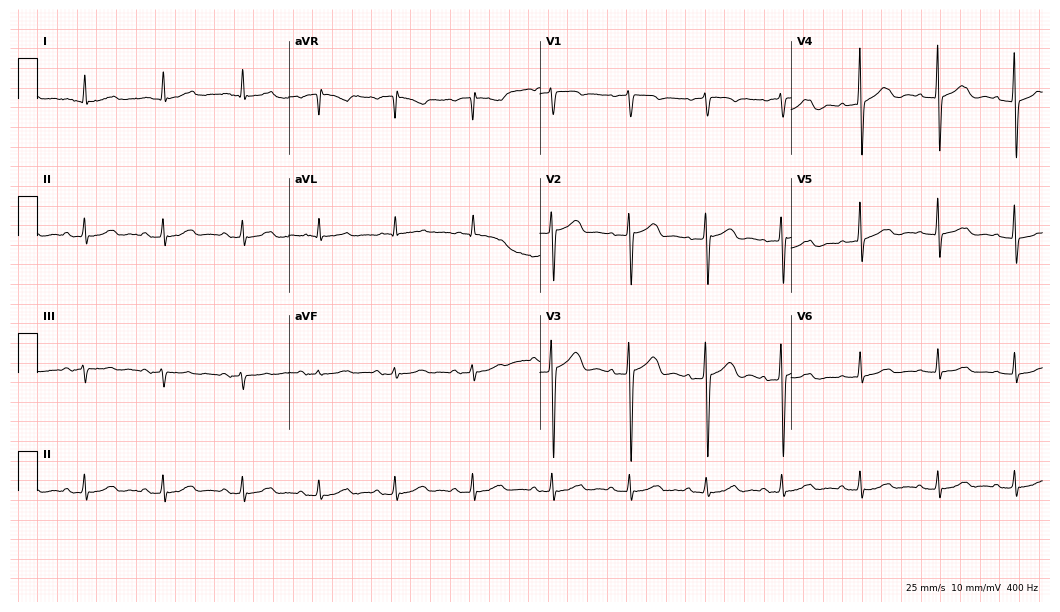
Resting 12-lead electrocardiogram. Patient: a woman, 68 years old. Read as a normal ECG.